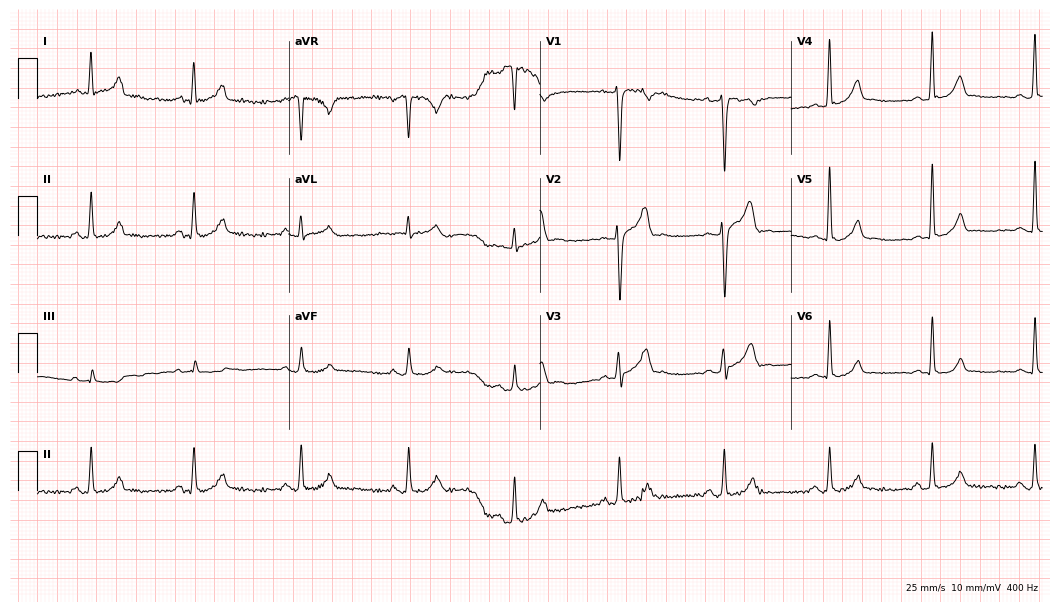
Standard 12-lead ECG recorded from a man, 24 years old (10.2-second recording at 400 Hz). Read as a normal ECG.